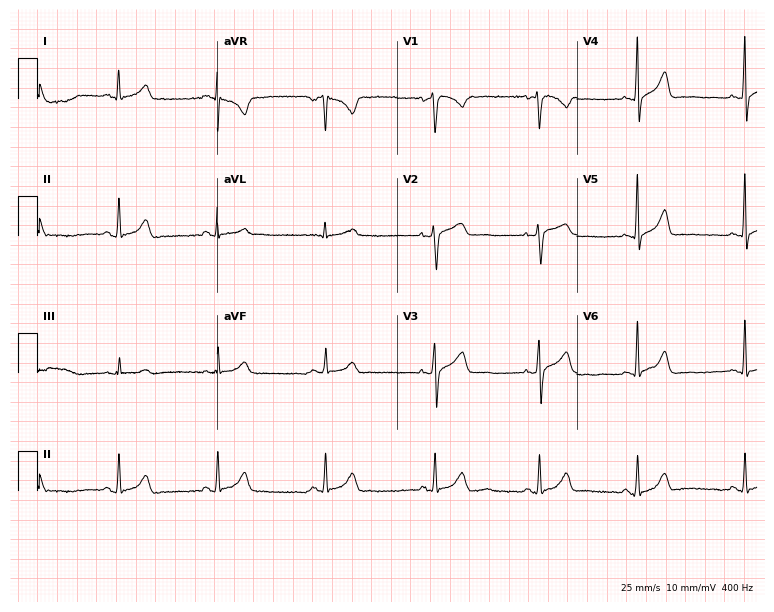
12-lead ECG from a 27-year-old woman. Recorded interpretation: within normal limits.